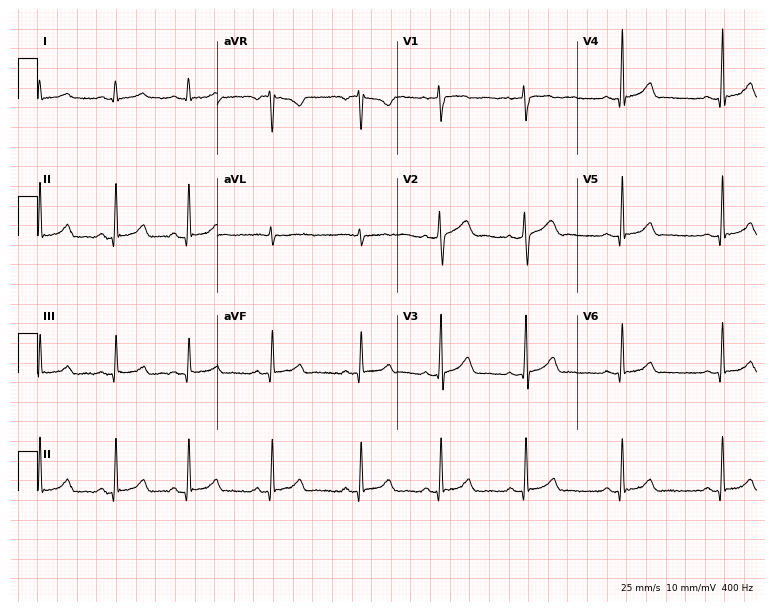
12-lead ECG from a 31-year-old female patient. Recorded interpretation: within normal limits.